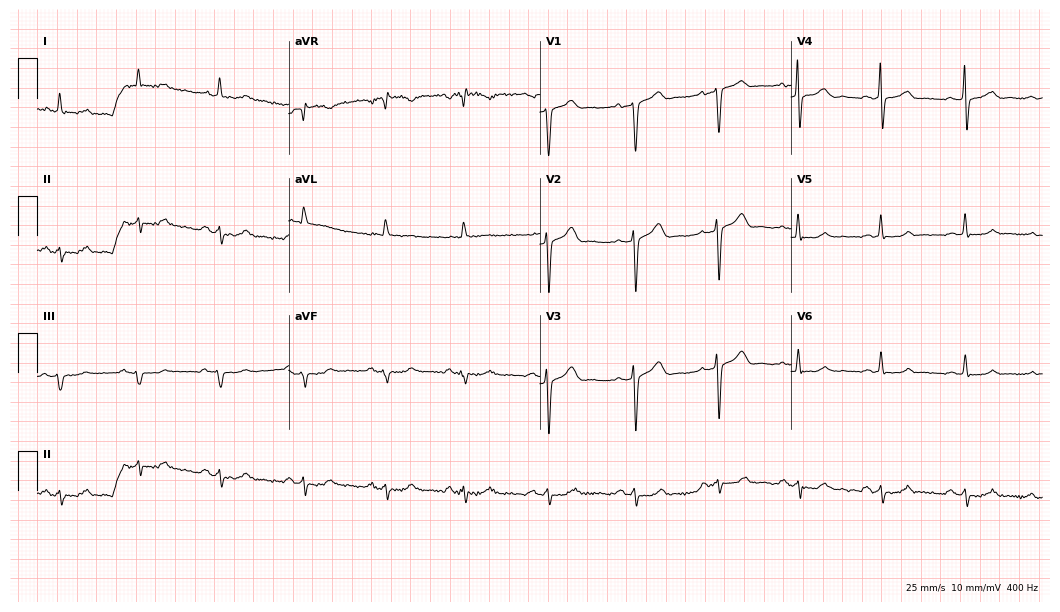
Standard 12-lead ECG recorded from a male, 66 years old (10.2-second recording at 400 Hz). None of these six findings is recorded: first-degree AV block, right bundle branch block, left bundle branch block, sinus bradycardia, atrial fibrillation, sinus tachycardia. Other findings, if any, are not listed.